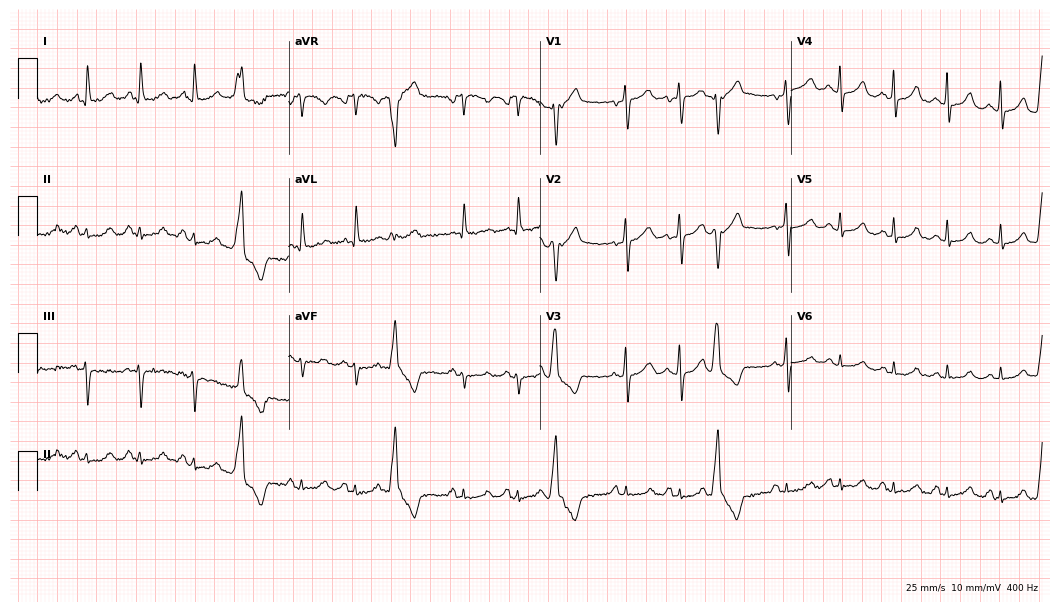
Standard 12-lead ECG recorded from a female patient, 79 years old. None of these six findings is recorded: first-degree AV block, right bundle branch block, left bundle branch block, sinus bradycardia, atrial fibrillation, sinus tachycardia.